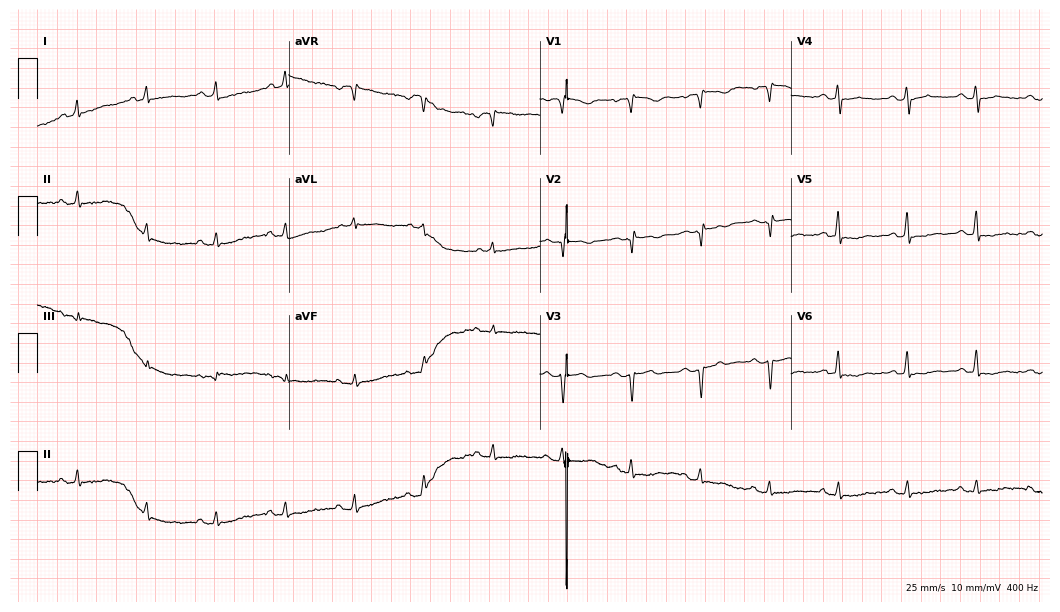
12-lead ECG from a female, 55 years old (10.2-second recording at 400 Hz). No first-degree AV block, right bundle branch block, left bundle branch block, sinus bradycardia, atrial fibrillation or sinus tachycardia recorded for this tracing.